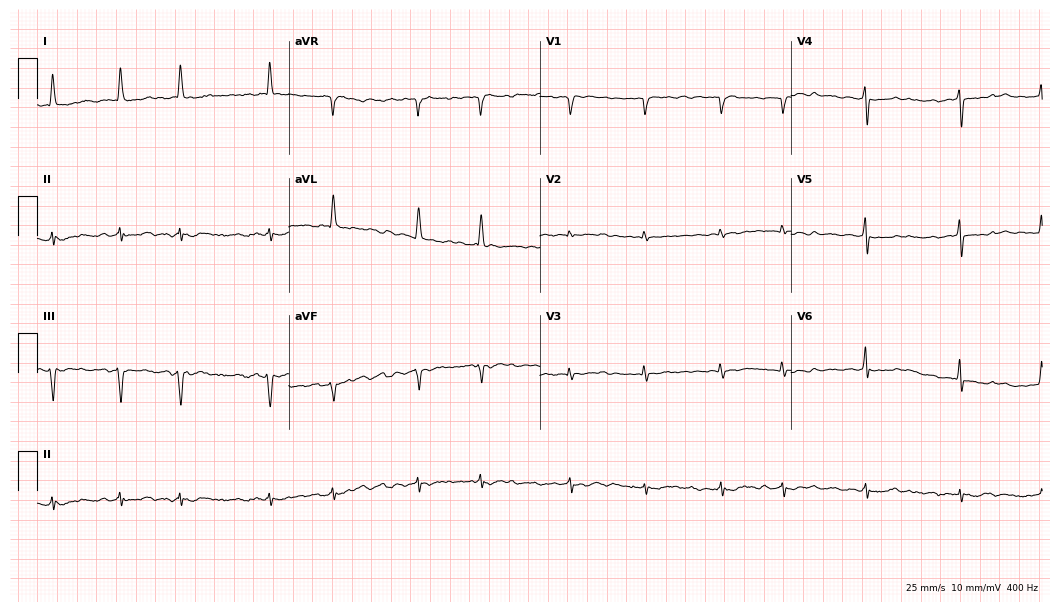
ECG — a female, 77 years old. Findings include atrial fibrillation.